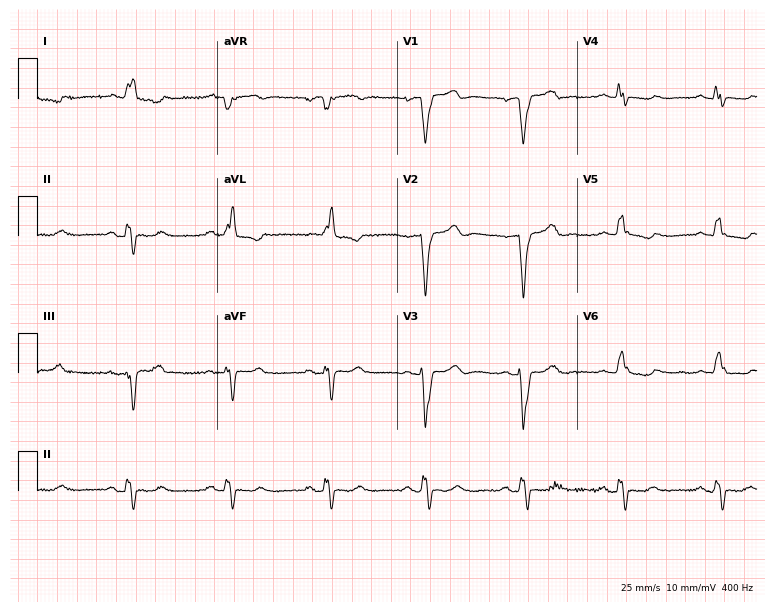
12-lead ECG from a female, 84 years old. Findings include left bundle branch block.